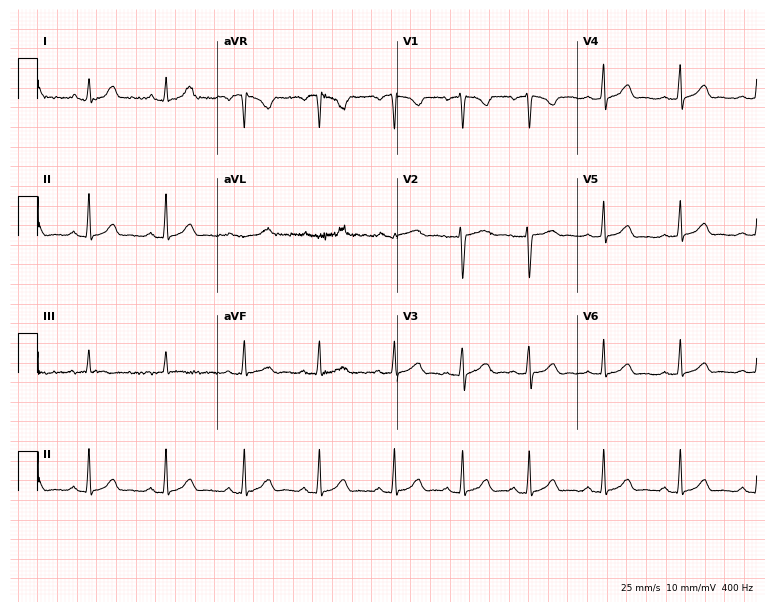
Resting 12-lead electrocardiogram. Patient: a female, 22 years old. Read as a normal ECG.